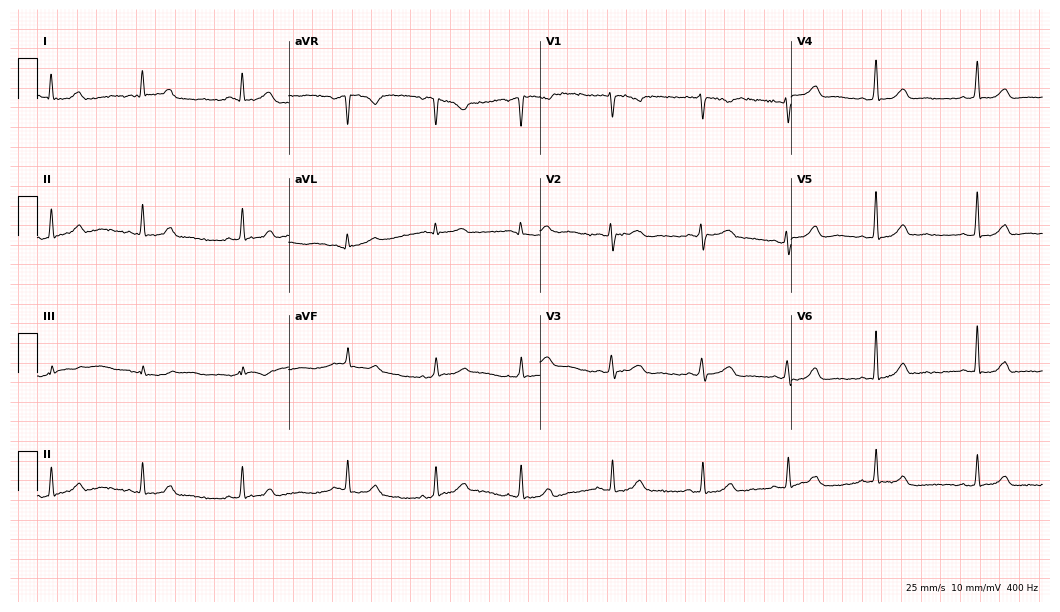
ECG — a 31-year-old woman. Labelled as a normal ECG.